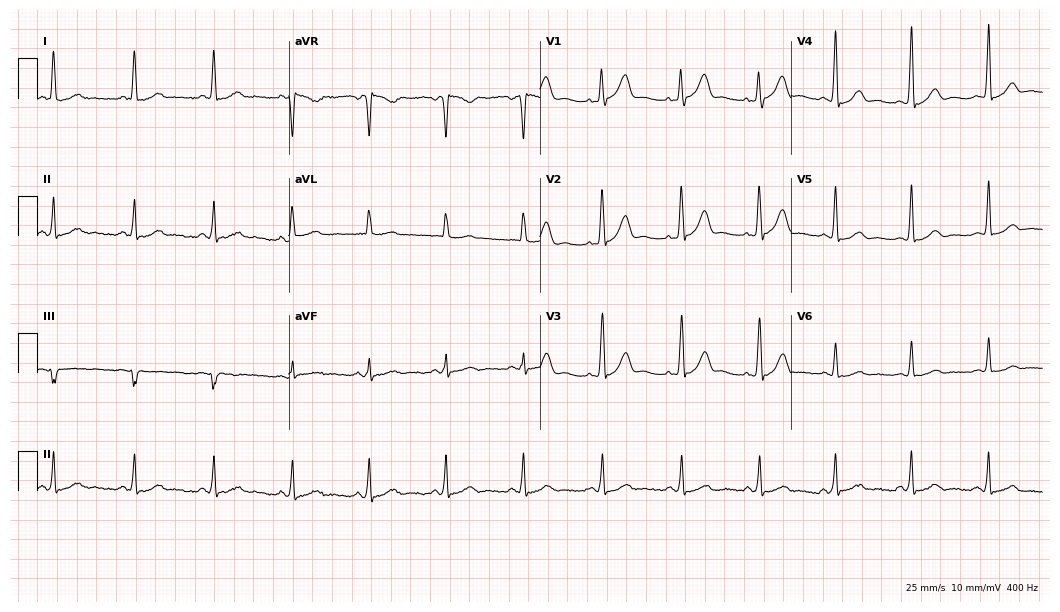
Electrocardiogram (10.2-second recording at 400 Hz), a 52-year-old female. Of the six screened findings (first-degree AV block, right bundle branch block (RBBB), left bundle branch block (LBBB), sinus bradycardia, atrial fibrillation (AF), sinus tachycardia), none is recorded.